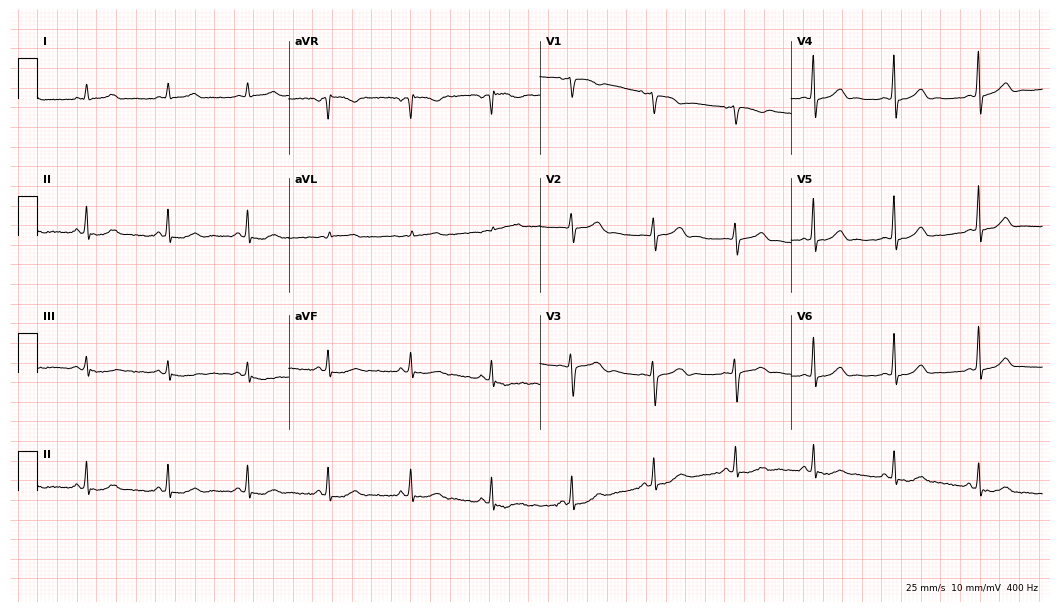
ECG — a 41-year-old woman. Screened for six findings — first-degree AV block, right bundle branch block (RBBB), left bundle branch block (LBBB), sinus bradycardia, atrial fibrillation (AF), sinus tachycardia — none is recorded.